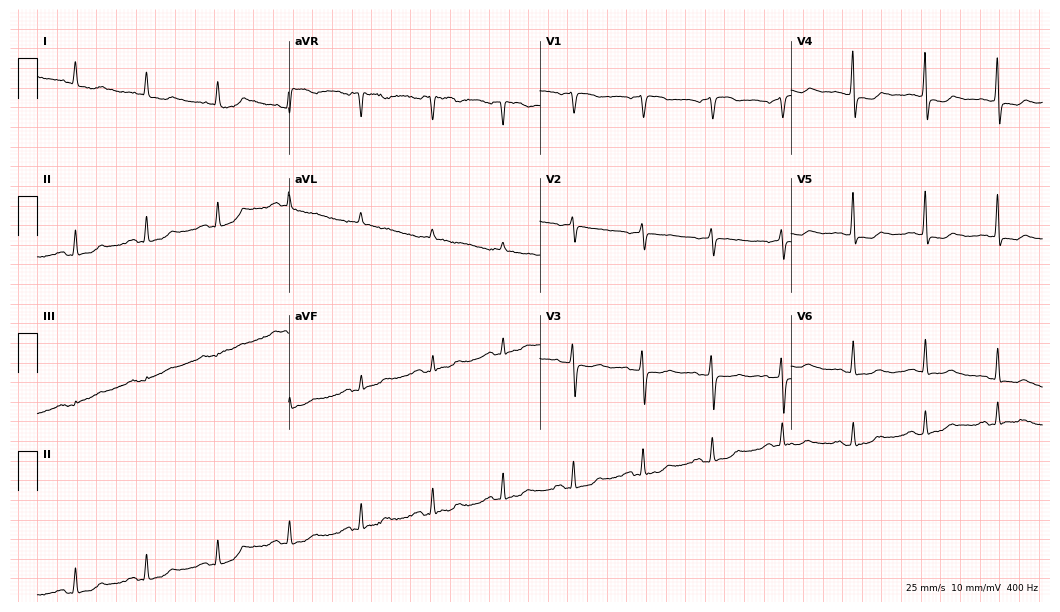
Resting 12-lead electrocardiogram. Patient: a 64-year-old female. None of these six findings is recorded: first-degree AV block, right bundle branch block, left bundle branch block, sinus bradycardia, atrial fibrillation, sinus tachycardia.